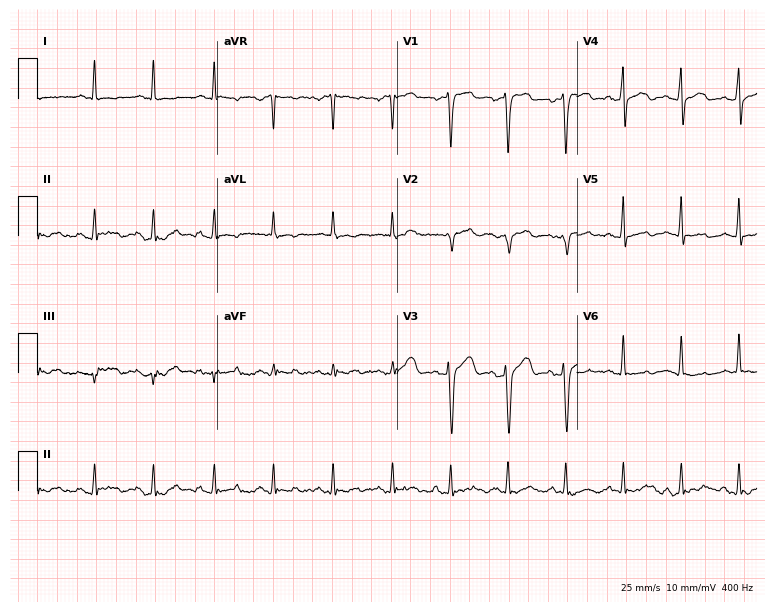
Electrocardiogram, a male patient, 45 years old. Of the six screened findings (first-degree AV block, right bundle branch block, left bundle branch block, sinus bradycardia, atrial fibrillation, sinus tachycardia), none is recorded. Other findings, if any, are not listed.